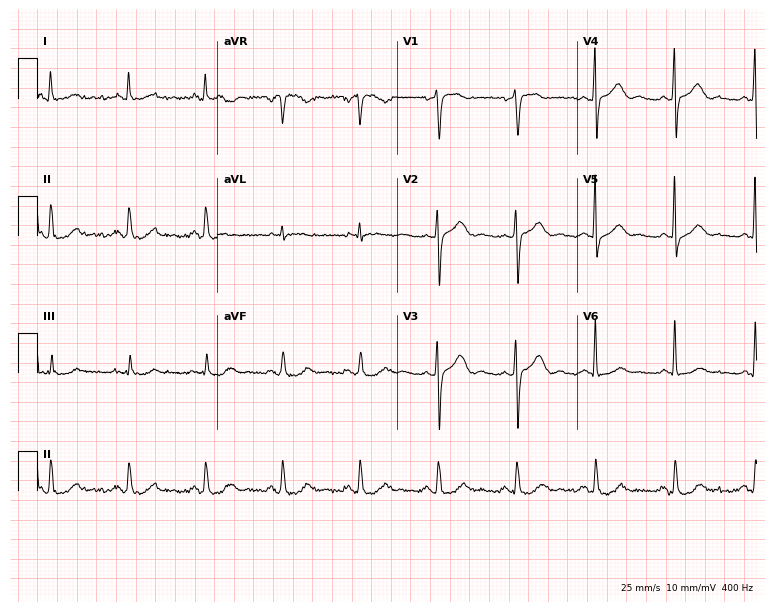
12-lead ECG from a 73-year-old man. Recorded interpretation: within normal limits.